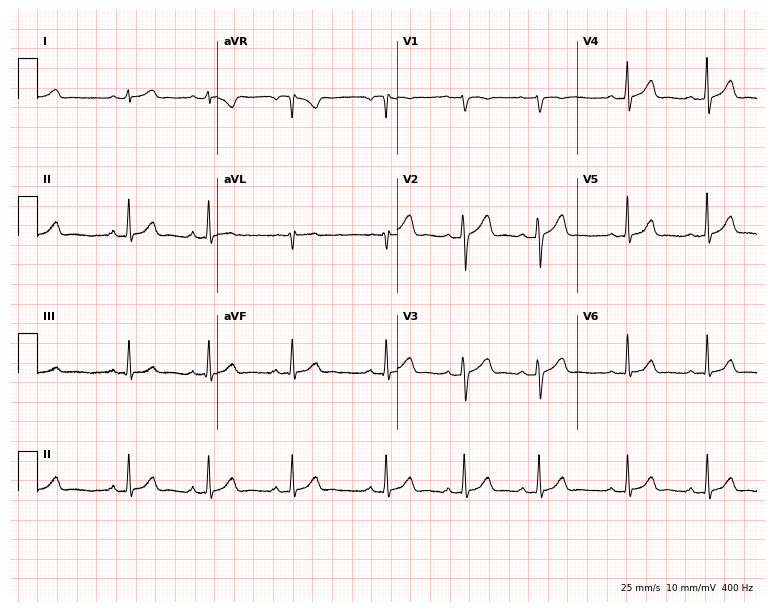
ECG (7.3-second recording at 400 Hz) — a female patient, 17 years old. Labelled as a normal ECG.